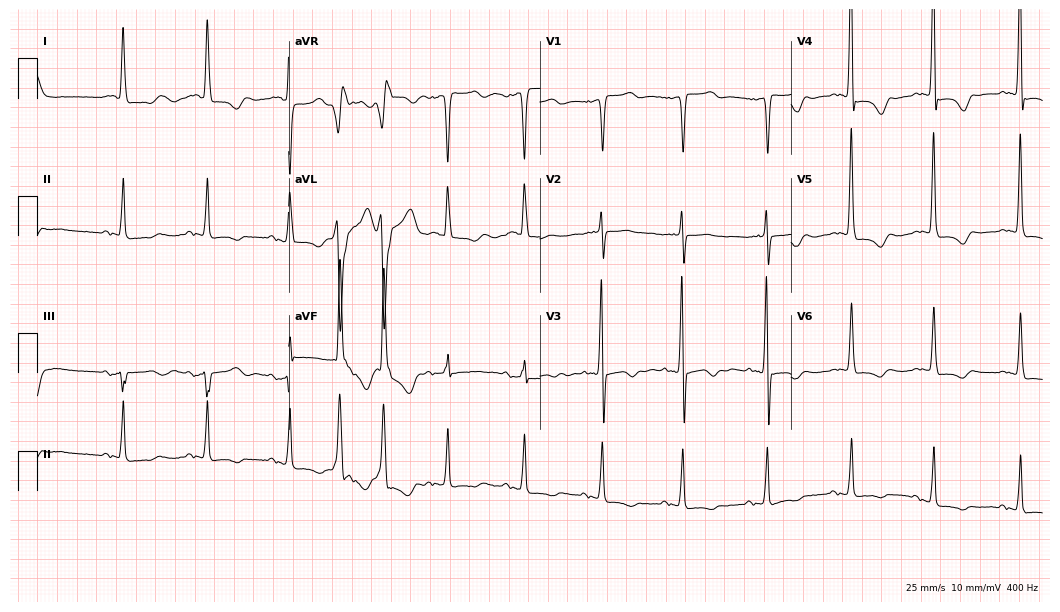
ECG (10.2-second recording at 400 Hz) — a 73-year-old female patient. Screened for six findings — first-degree AV block, right bundle branch block (RBBB), left bundle branch block (LBBB), sinus bradycardia, atrial fibrillation (AF), sinus tachycardia — none is recorded. Only these six findings were labelled.